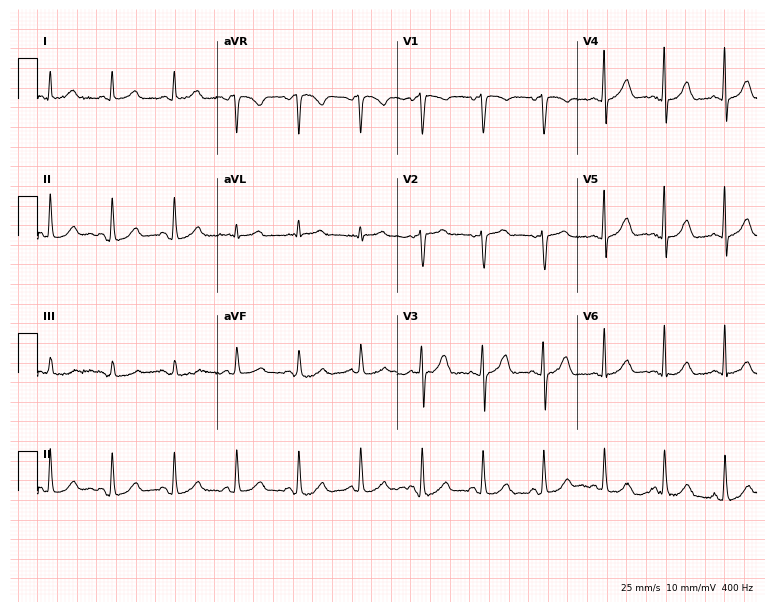
ECG (7.3-second recording at 400 Hz) — a 51-year-old female patient. Labelled as a normal ECG.